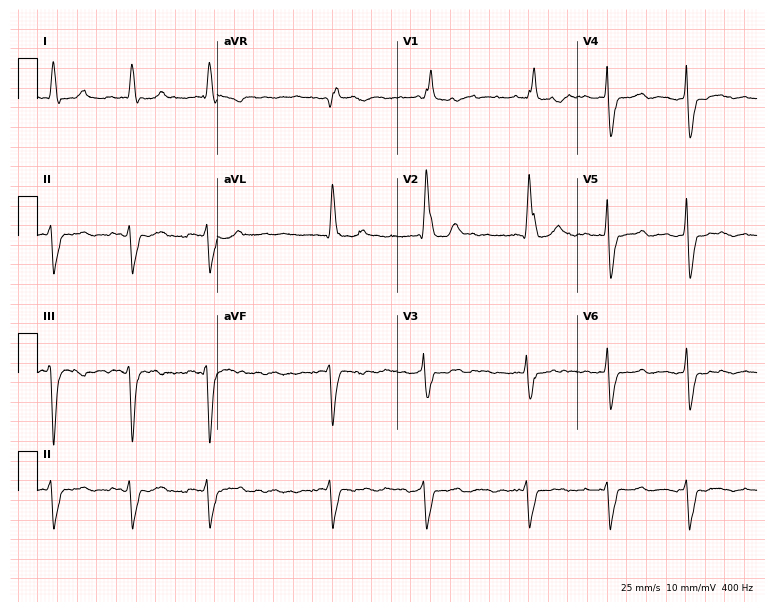
12-lead ECG (7.3-second recording at 400 Hz) from a female patient, 83 years old. Findings include right bundle branch block, atrial fibrillation.